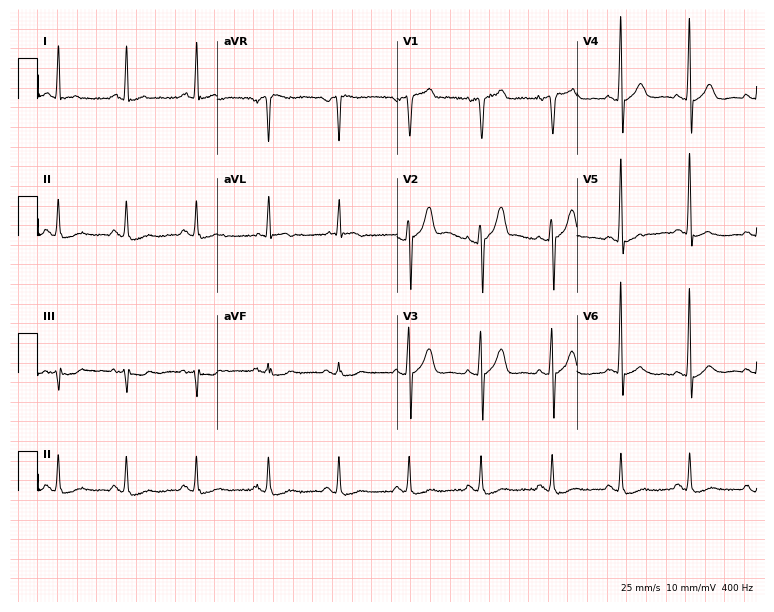
Resting 12-lead electrocardiogram (7.3-second recording at 400 Hz). Patient: a 68-year-old male. None of these six findings is recorded: first-degree AV block, right bundle branch block, left bundle branch block, sinus bradycardia, atrial fibrillation, sinus tachycardia.